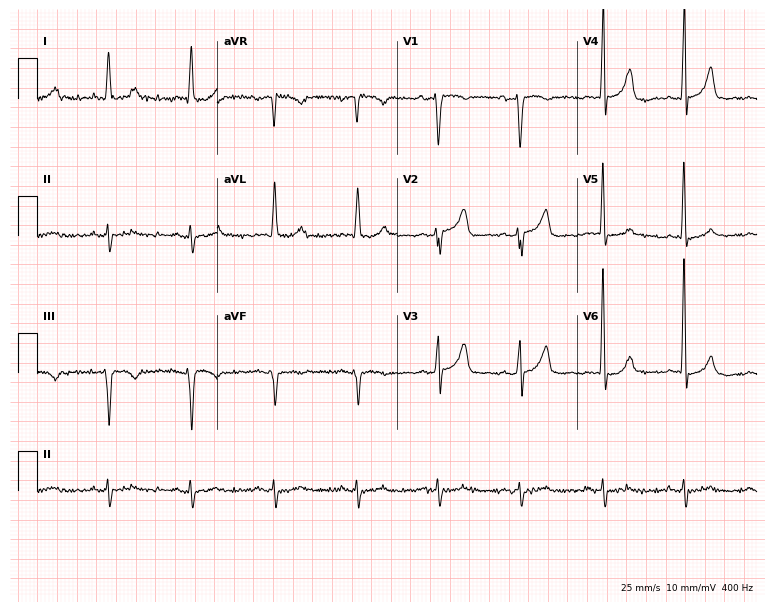
ECG — a male, 69 years old. Screened for six findings — first-degree AV block, right bundle branch block, left bundle branch block, sinus bradycardia, atrial fibrillation, sinus tachycardia — none is recorded. Findings outside these six are not listed.